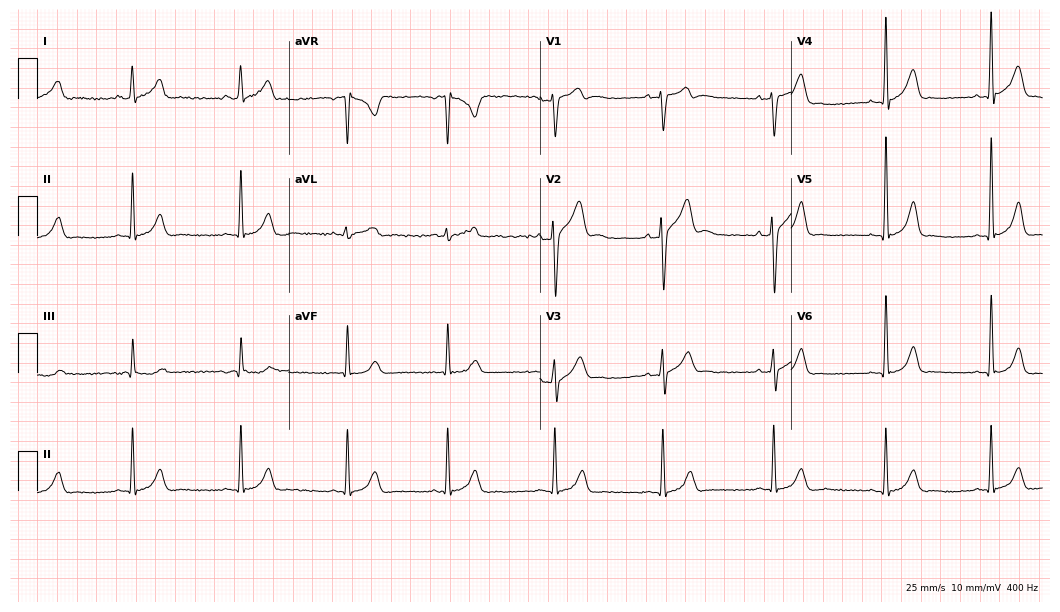
ECG (10.2-second recording at 400 Hz) — a man, 24 years old. Labelled as a normal ECG.